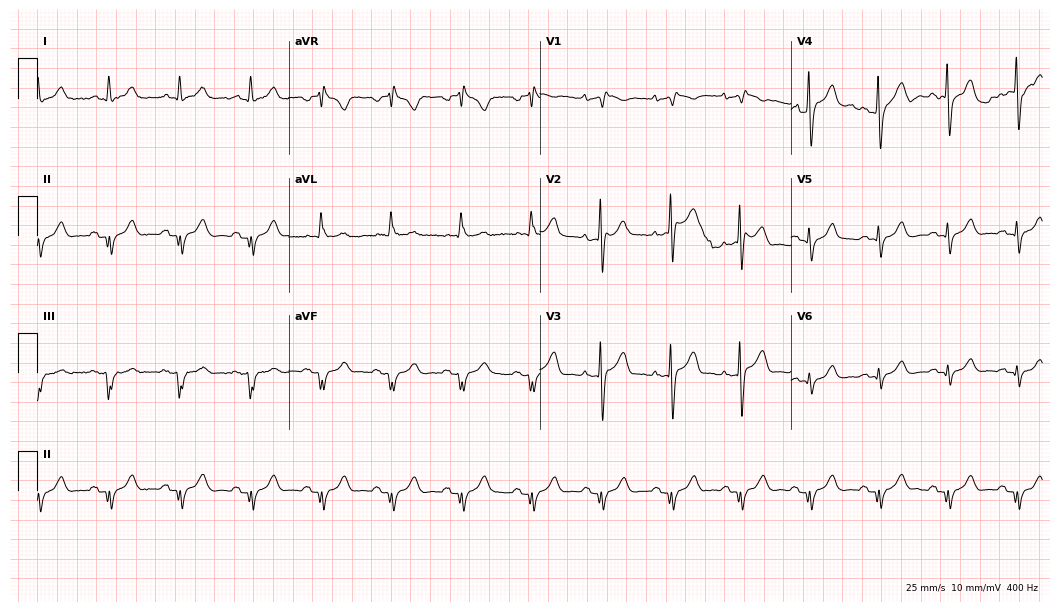
Resting 12-lead electrocardiogram. Patient: an 83-year-old man. None of these six findings is recorded: first-degree AV block, right bundle branch block (RBBB), left bundle branch block (LBBB), sinus bradycardia, atrial fibrillation (AF), sinus tachycardia. Other findings, if any, are not listed.